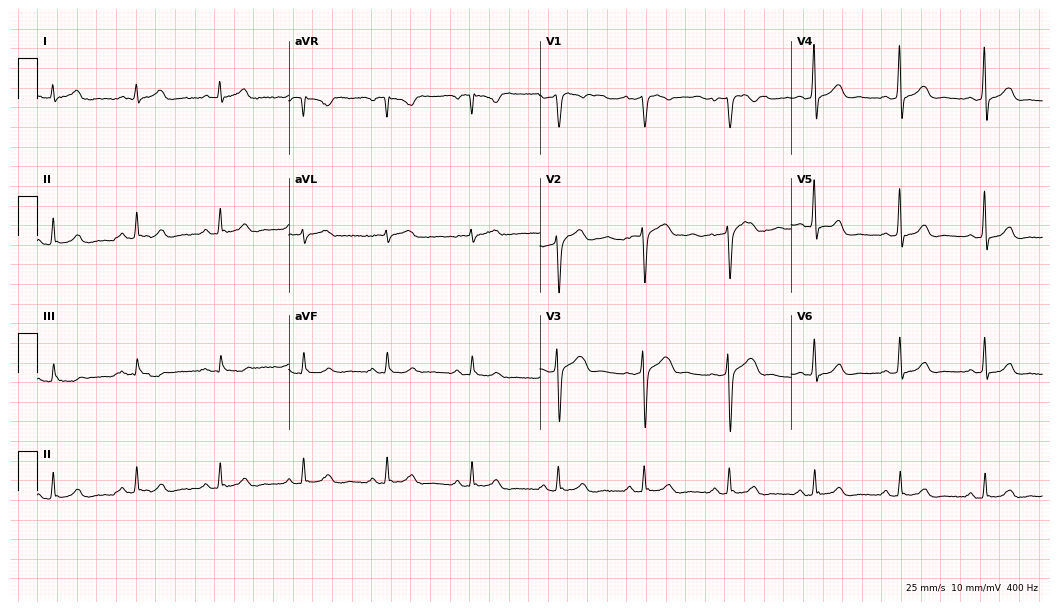
Electrocardiogram (10.2-second recording at 400 Hz), a male patient, 55 years old. Of the six screened findings (first-degree AV block, right bundle branch block, left bundle branch block, sinus bradycardia, atrial fibrillation, sinus tachycardia), none is recorded. Other findings, if any, are not listed.